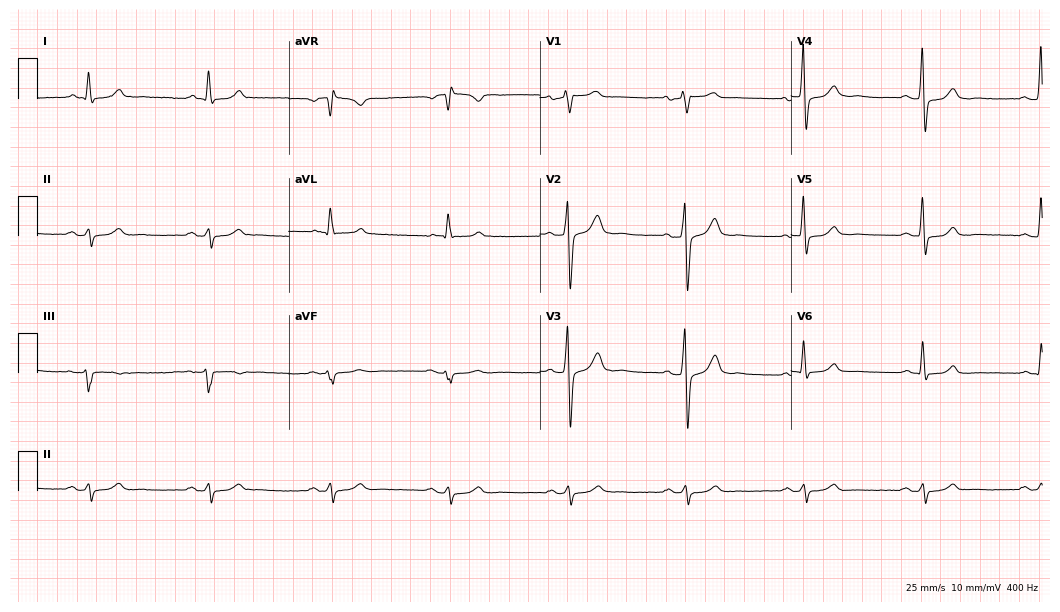
Electrocardiogram, a 76-year-old man. Of the six screened findings (first-degree AV block, right bundle branch block (RBBB), left bundle branch block (LBBB), sinus bradycardia, atrial fibrillation (AF), sinus tachycardia), none is recorded. Only these six findings were labelled.